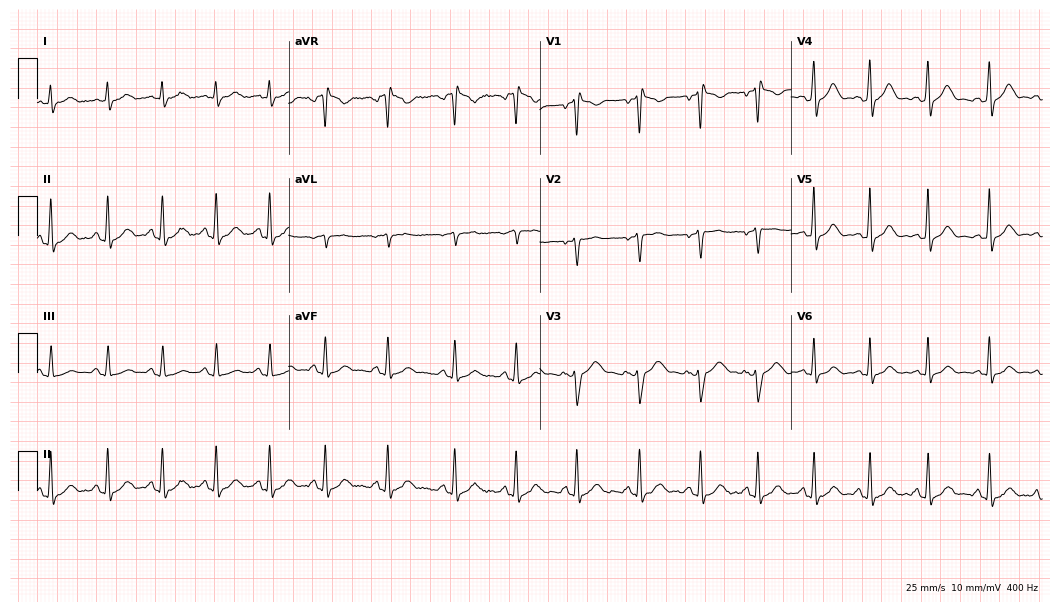
Electrocardiogram (10.2-second recording at 400 Hz), a female patient, 22 years old. Interpretation includes sinus tachycardia (a sinus rate of 100 beats per minute or more).